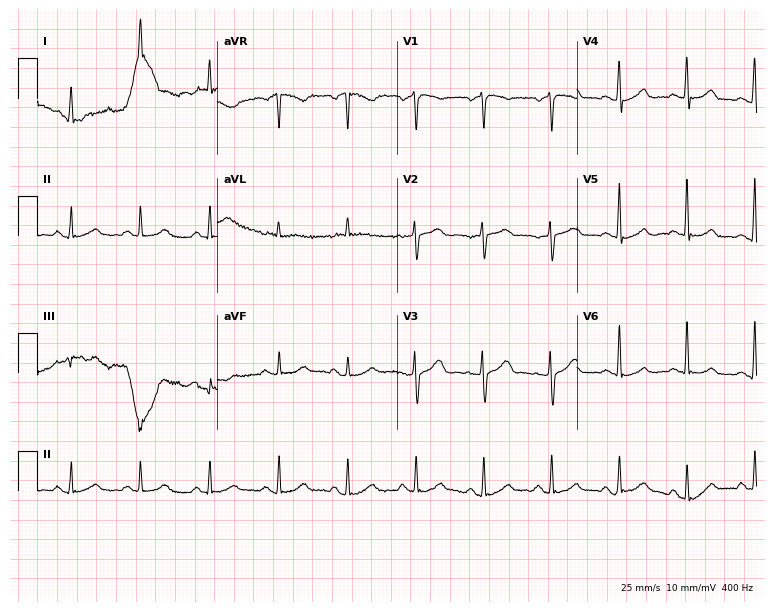
Standard 12-lead ECG recorded from a 64-year-old male patient. Read as a normal ECG.